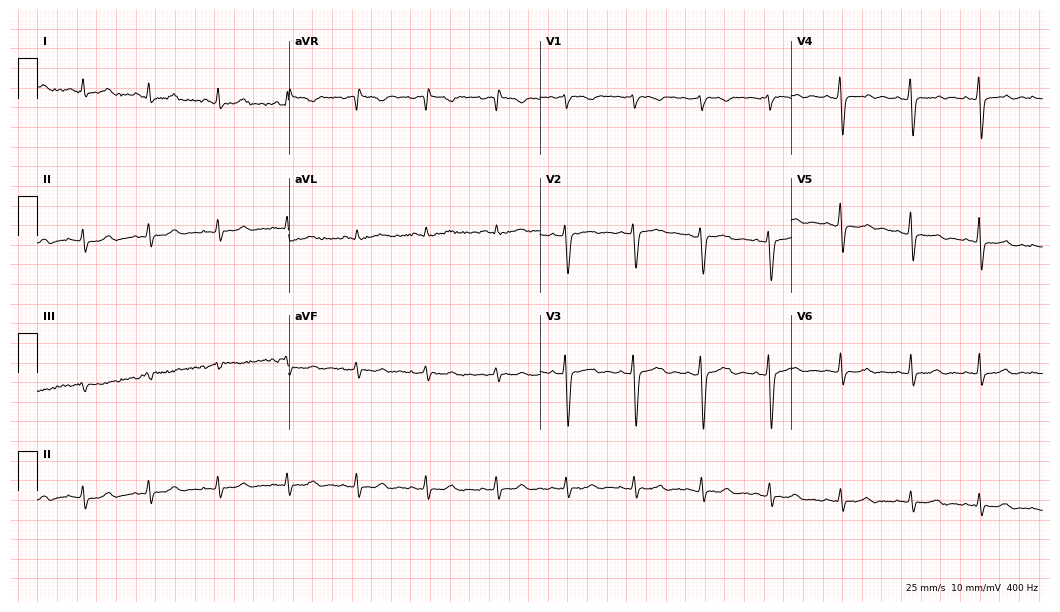
Standard 12-lead ECG recorded from a female patient, 37 years old (10.2-second recording at 400 Hz). None of these six findings is recorded: first-degree AV block, right bundle branch block, left bundle branch block, sinus bradycardia, atrial fibrillation, sinus tachycardia. Only these six findings were labelled.